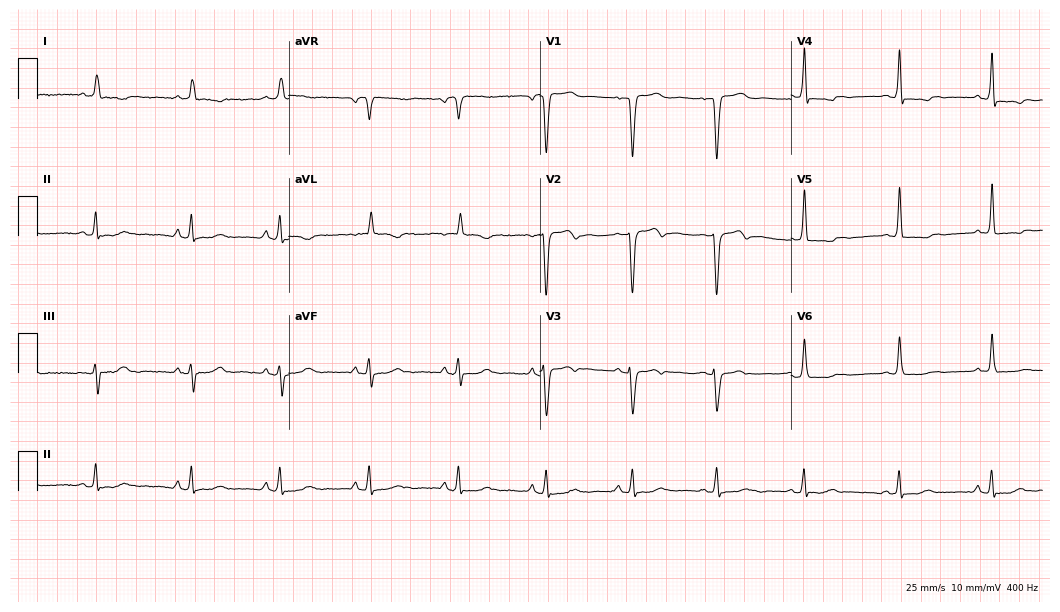
ECG (10.2-second recording at 400 Hz) — a 64-year-old female patient. Screened for six findings — first-degree AV block, right bundle branch block (RBBB), left bundle branch block (LBBB), sinus bradycardia, atrial fibrillation (AF), sinus tachycardia — none is recorded.